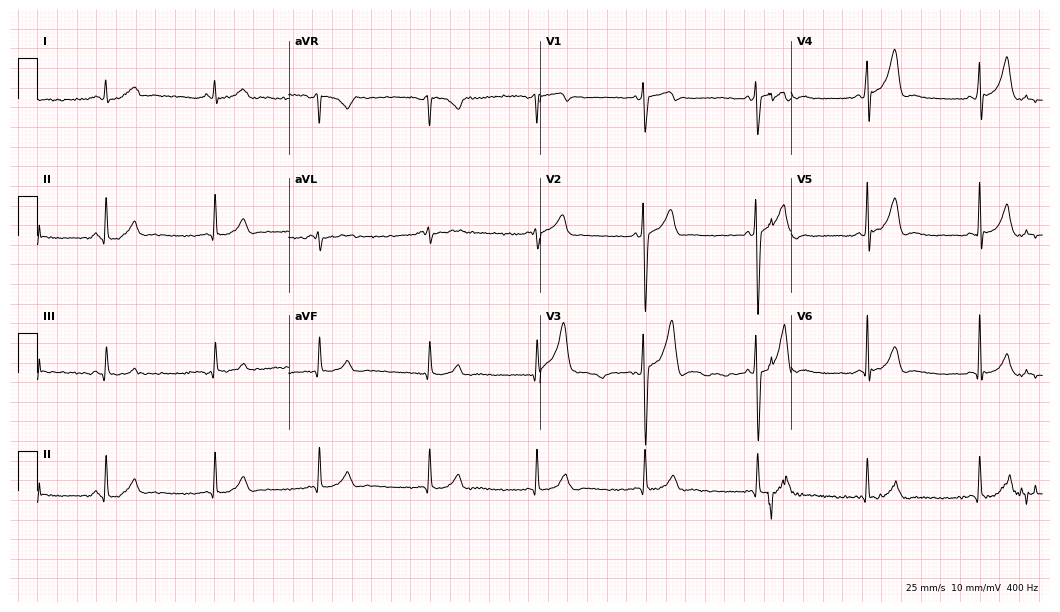
12-lead ECG from a 28-year-old male. Recorded interpretation: within normal limits.